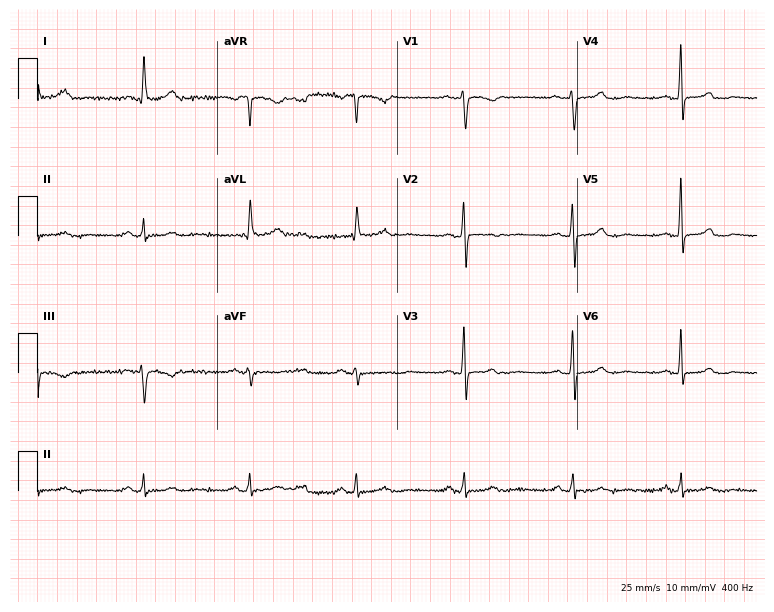
Electrocardiogram (7.3-second recording at 400 Hz), a 67-year-old female patient. Of the six screened findings (first-degree AV block, right bundle branch block, left bundle branch block, sinus bradycardia, atrial fibrillation, sinus tachycardia), none is recorded.